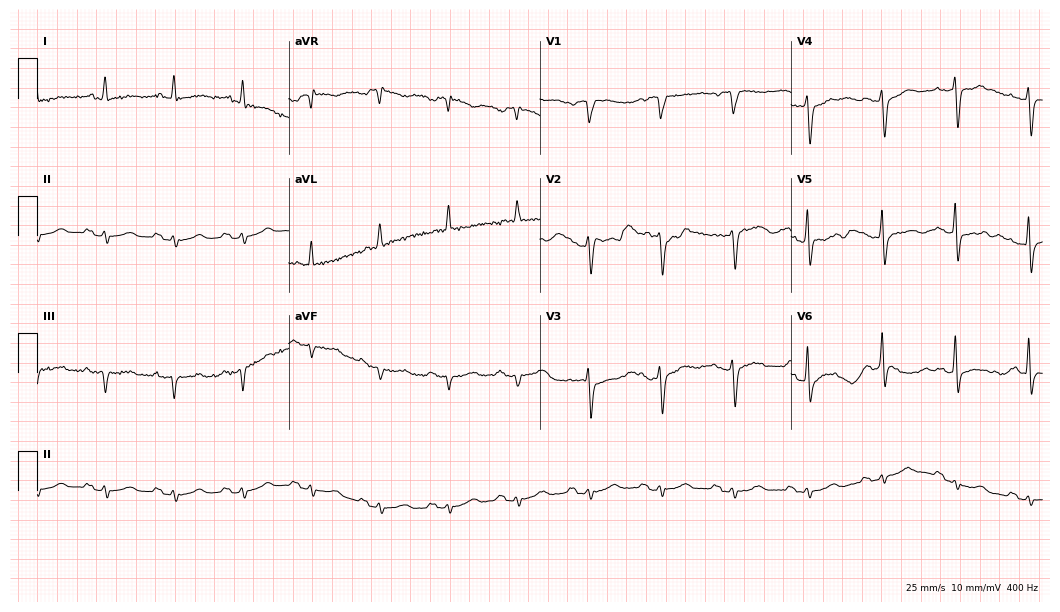
ECG (10.2-second recording at 400 Hz) — a man, 82 years old. Screened for six findings — first-degree AV block, right bundle branch block, left bundle branch block, sinus bradycardia, atrial fibrillation, sinus tachycardia — none is recorded.